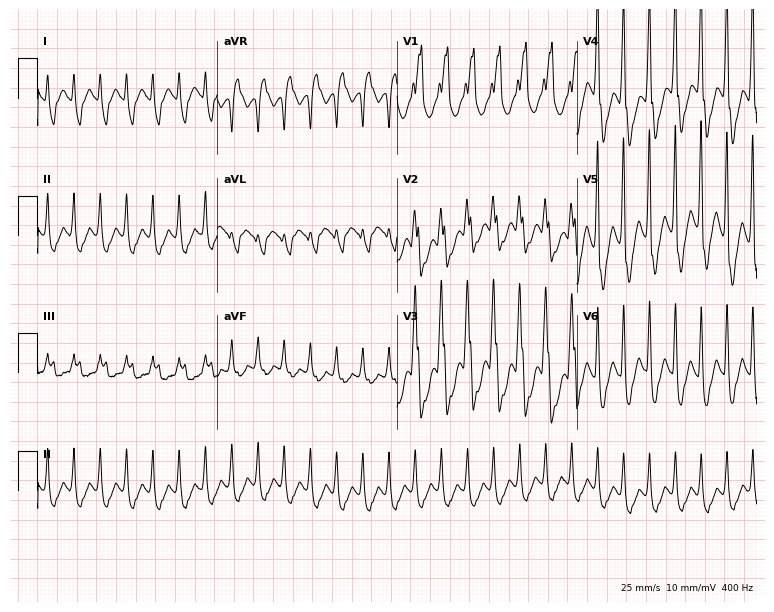
12-lead ECG from a man, 29 years old. Findings include right bundle branch block (RBBB).